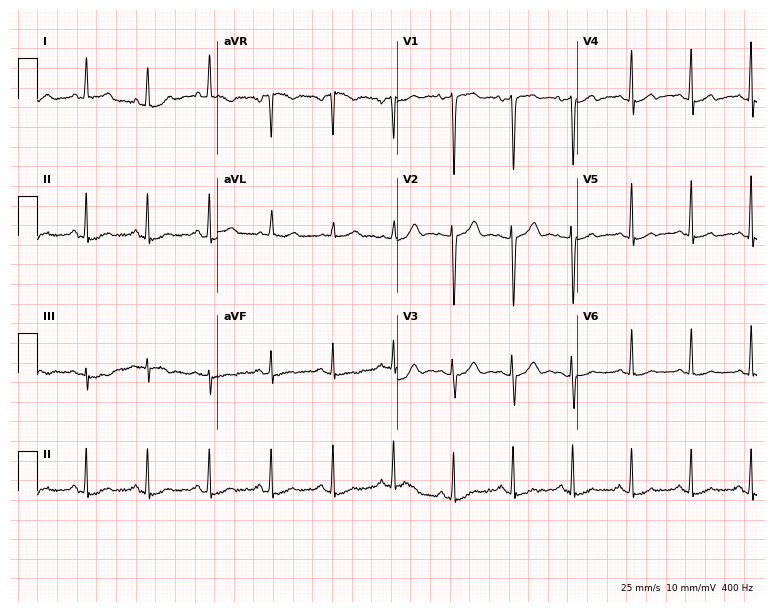
ECG — a 38-year-old female patient. Screened for six findings — first-degree AV block, right bundle branch block, left bundle branch block, sinus bradycardia, atrial fibrillation, sinus tachycardia — none is recorded. Only these six findings were labelled.